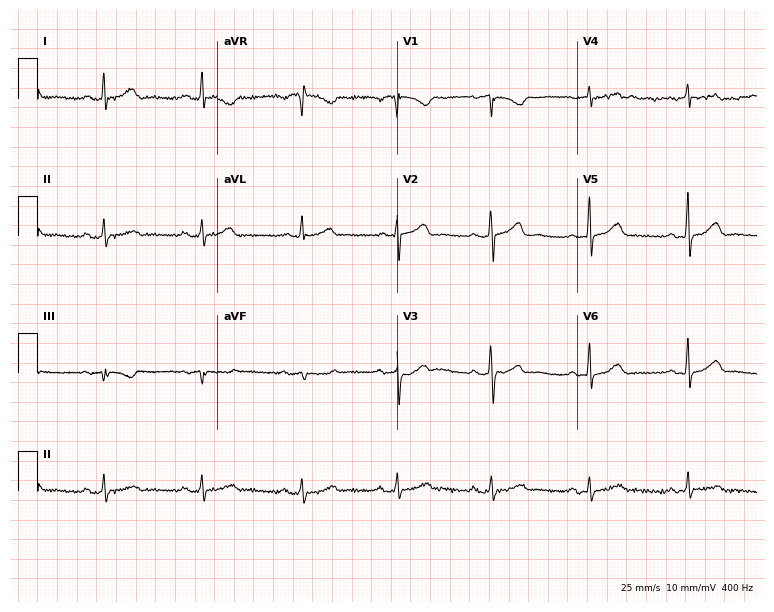
Resting 12-lead electrocardiogram (7.3-second recording at 400 Hz). Patient: a woman, 75 years old. Read as a normal ECG.